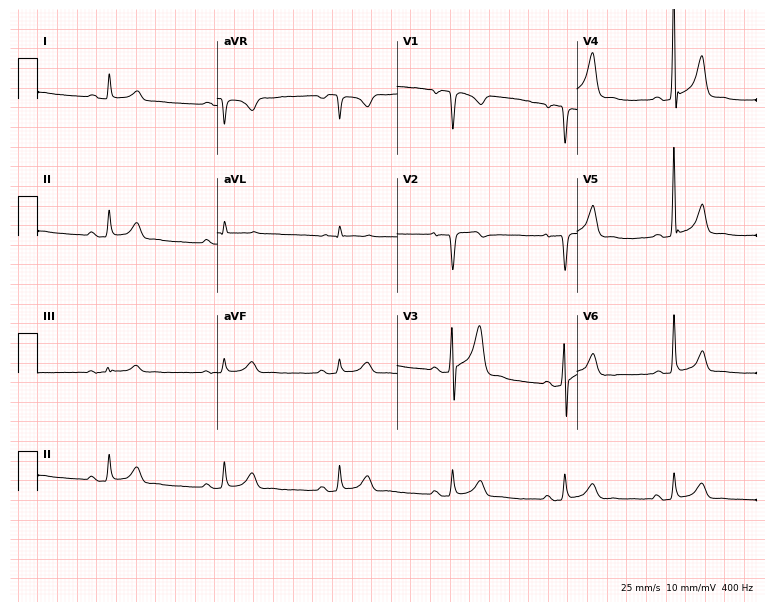
Electrocardiogram, a male patient, 49 years old. Of the six screened findings (first-degree AV block, right bundle branch block, left bundle branch block, sinus bradycardia, atrial fibrillation, sinus tachycardia), none is recorded.